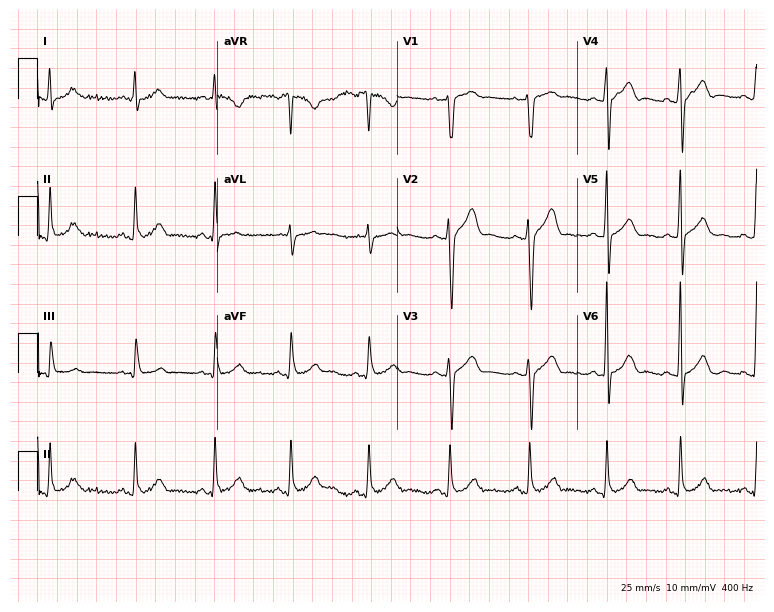
Standard 12-lead ECG recorded from a man, 36 years old (7.3-second recording at 400 Hz). None of these six findings is recorded: first-degree AV block, right bundle branch block, left bundle branch block, sinus bradycardia, atrial fibrillation, sinus tachycardia.